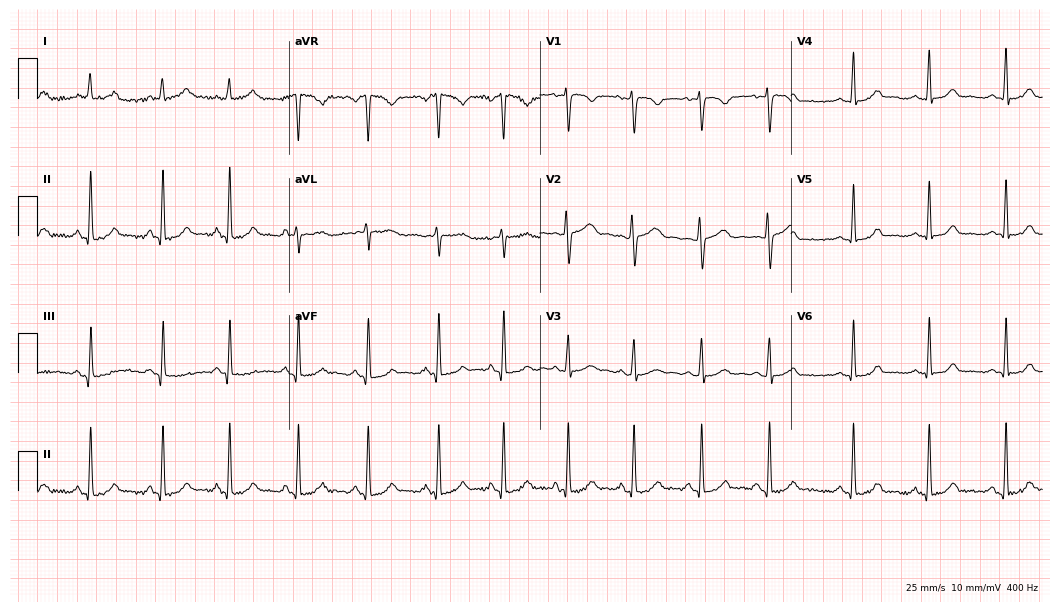
Resting 12-lead electrocardiogram. Patient: a woman, 22 years old. None of these six findings is recorded: first-degree AV block, right bundle branch block, left bundle branch block, sinus bradycardia, atrial fibrillation, sinus tachycardia.